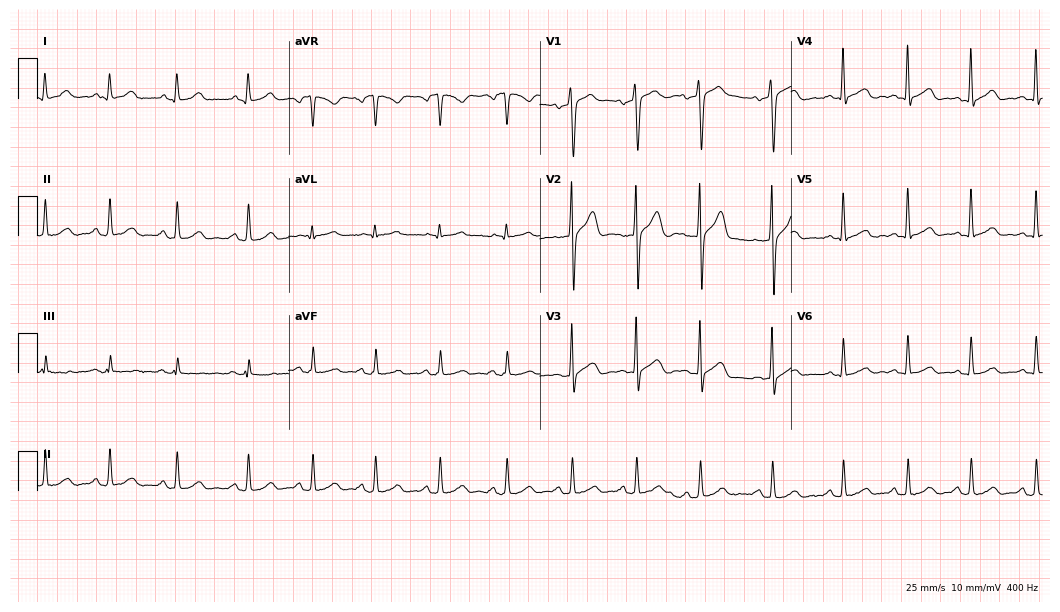
Resting 12-lead electrocardiogram (10.2-second recording at 400 Hz). Patient: a 23-year-old man. Read as a normal ECG.